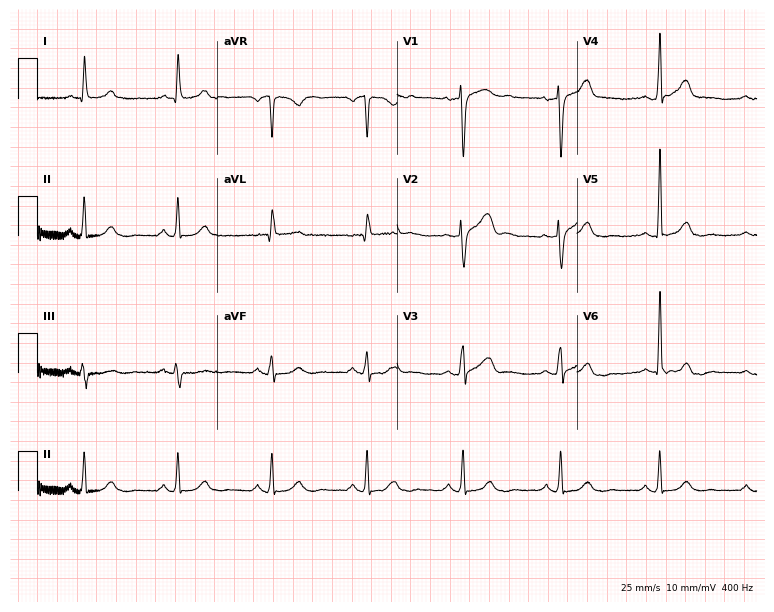
12-lead ECG (7.3-second recording at 400 Hz) from a 67-year-old man. Labelled as a normal ECG.